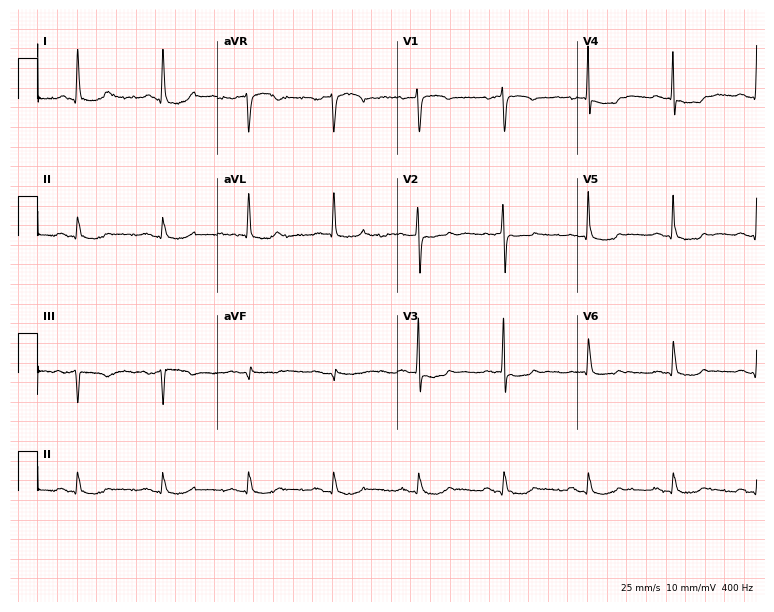
12-lead ECG from a 72-year-old woman. No first-degree AV block, right bundle branch block, left bundle branch block, sinus bradycardia, atrial fibrillation or sinus tachycardia recorded for this tracing.